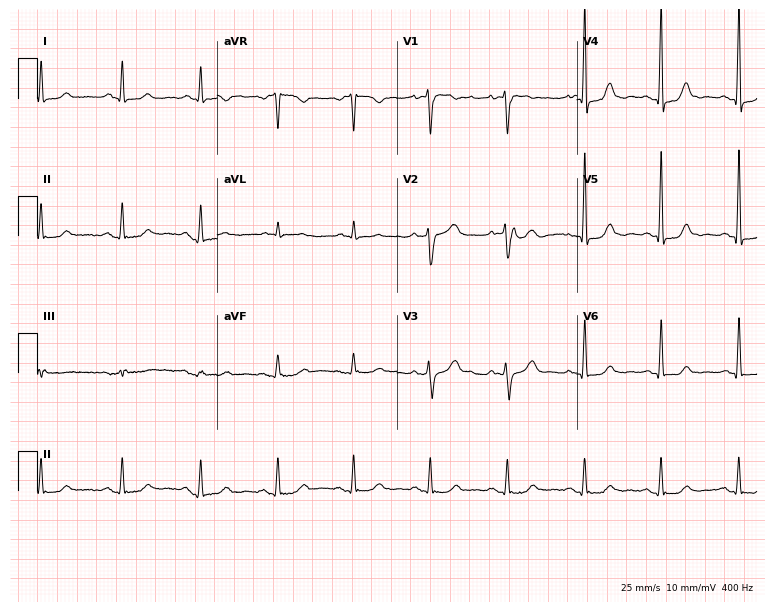
12-lead ECG from a female, 62 years old. Screened for six findings — first-degree AV block, right bundle branch block, left bundle branch block, sinus bradycardia, atrial fibrillation, sinus tachycardia — none is recorded. Only these six findings were labelled.